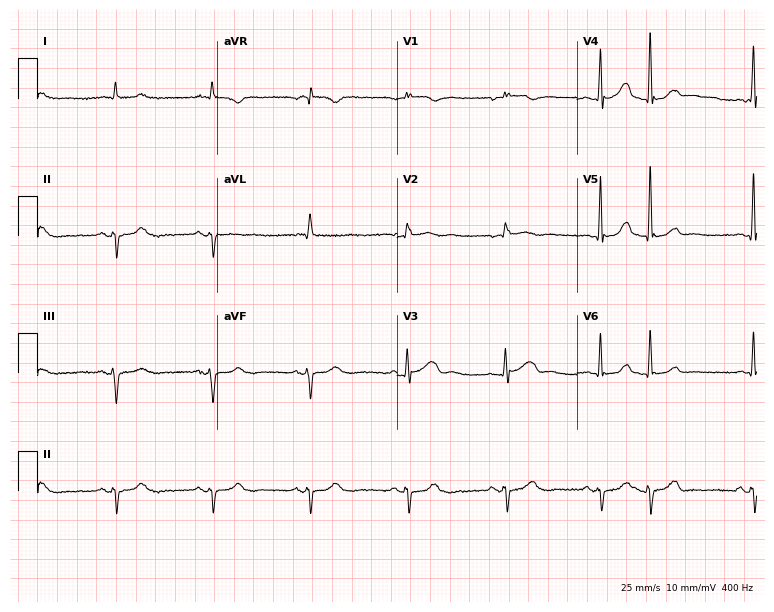
ECG — a male, 73 years old. Screened for six findings — first-degree AV block, right bundle branch block (RBBB), left bundle branch block (LBBB), sinus bradycardia, atrial fibrillation (AF), sinus tachycardia — none is recorded.